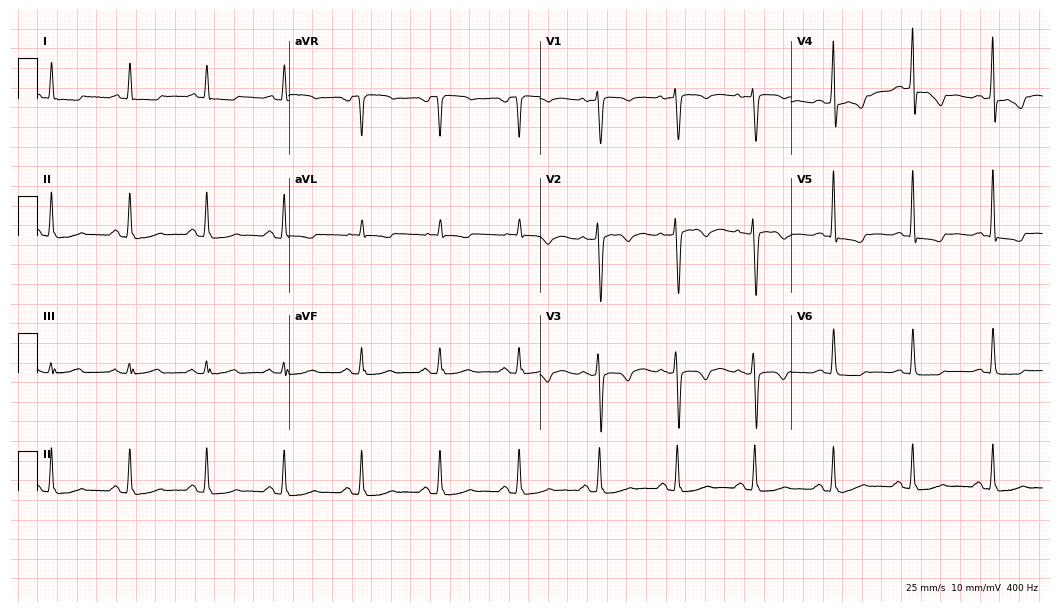
Resting 12-lead electrocardiogram. Patient: a 55-year-old female. None of these six findings is recorded: first-degree AV block, right bundle branch block, left bundle branch block, sinus bradycardia, atrial fibrillation, sinus tachycardia. Only these six findings were labelled.